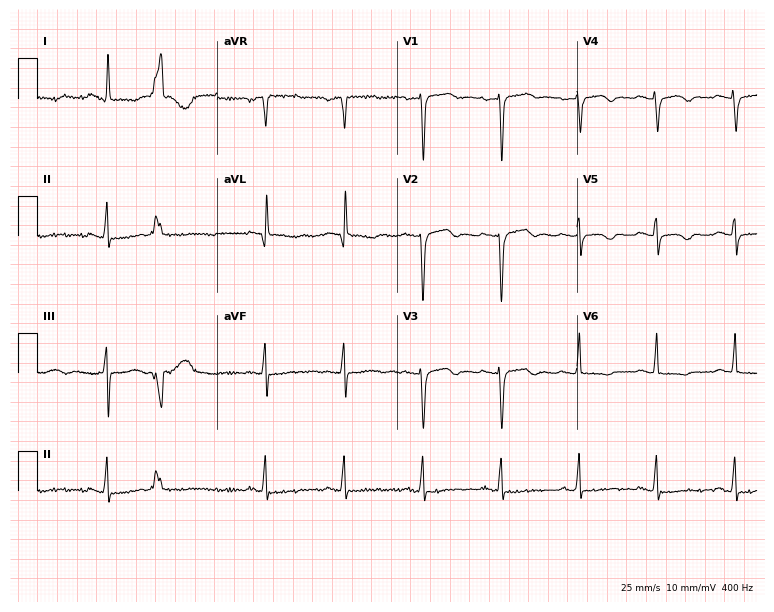
ECG — a female patient, 65 years old. Screened for six findings — first-degree AV block, right bundle branch block, left bundle branch block, sinus bradycardia, atrial fibrillation, sinus tachycardia — none is recorded. Other findings, if any, are not listed.